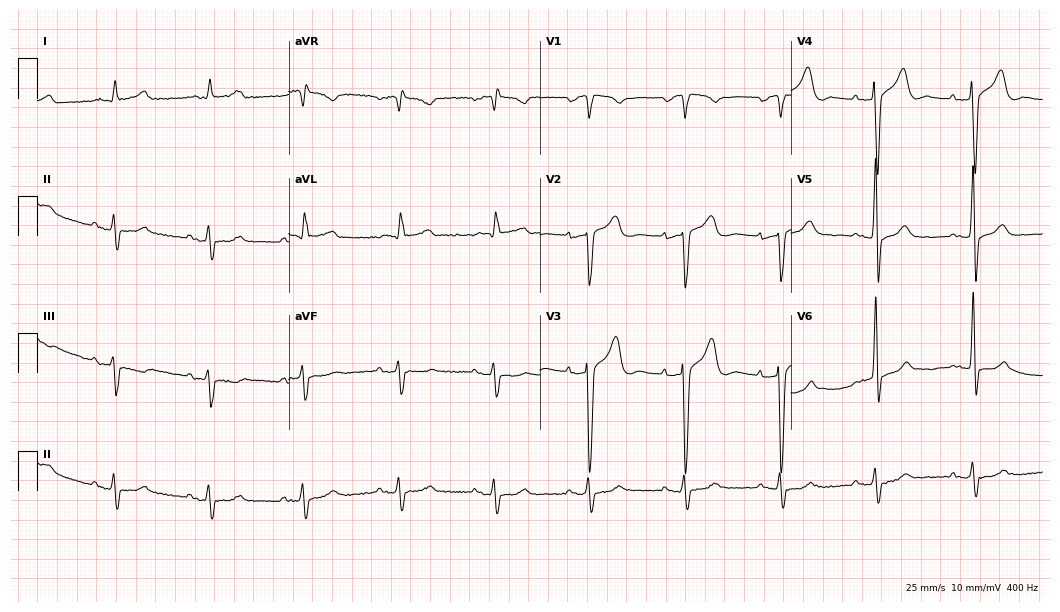
12-lead ECG from an 82-year-old male. No first-degree AV block, right bundle branch block (RBBB), left bundle branch block (LBBB), sinus bradycardia, atrial fibrillation (AF) or sinus tachycardia recorded for this tracing.